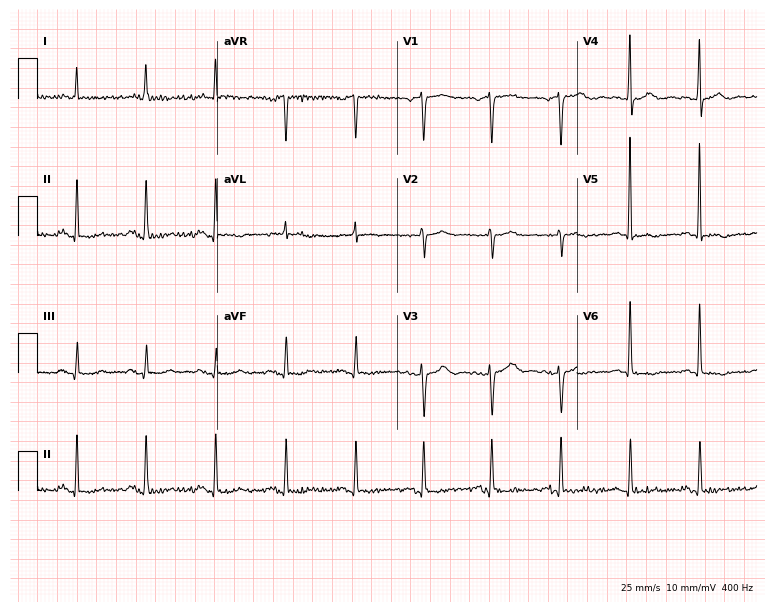
Standard 12-lead ECG recorded from a female patient, 79 years old. None of these six findings is recorded: first-degree AV block, right bundle branch block (RBBB), left bundle branch block (LBBB), sinus bradycardia, atrial fibrillation (AF), sinus tachycardia. Other findings, if any, are not listed.